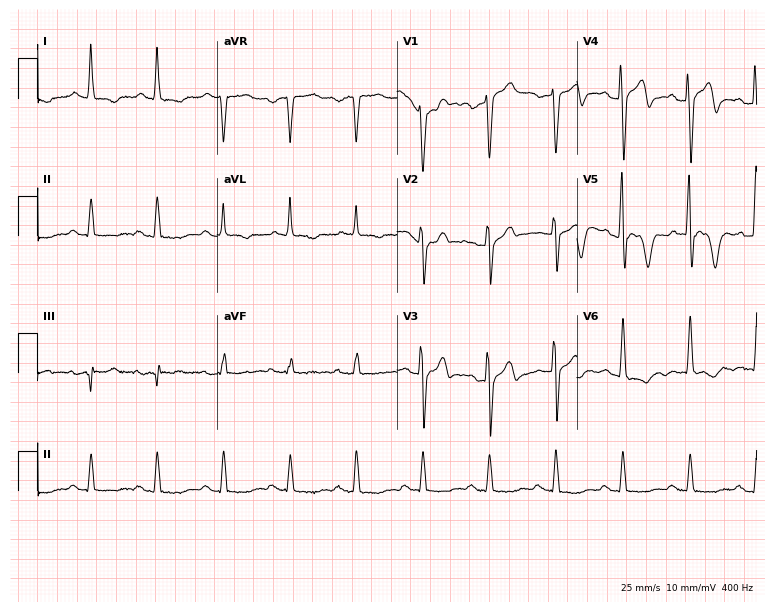
Resting 12-lead electrocardiogram (7.3-second recording at 400 Hz). Patient: a 73-year-old male. None of these six findings is recorded: first-degree AV block, right bundle branch block, left bundle branch block, sinus bradycardia, atrial fibrillation, sinus tachycardia.